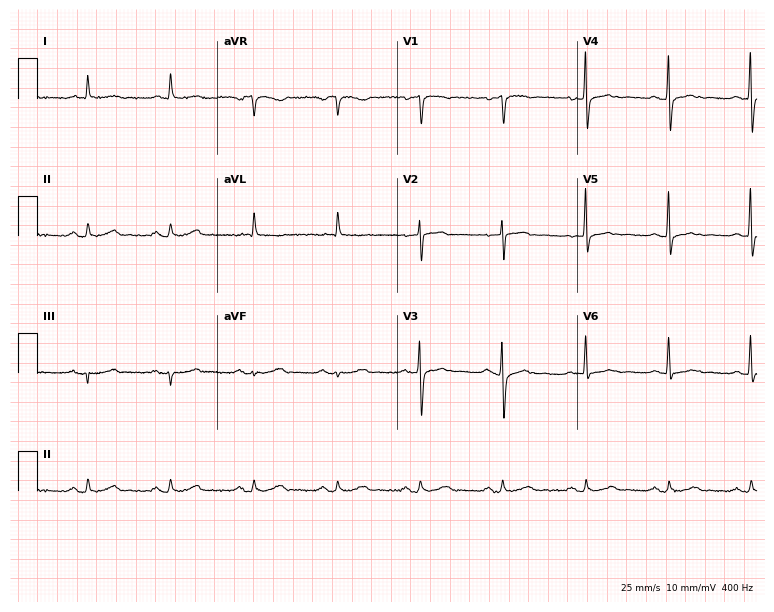
ECG (7.3-second recording at 400 Hz) — a 71-year-old male patient. Screened for six findings — first-degree AV block, right bundle branch block (RBBB), left bundle branch block (LBBB), sinus bradycardia, atrial fibrillation (AF), sinus tachycardia — none is recorded. Only these six findings were labelled.